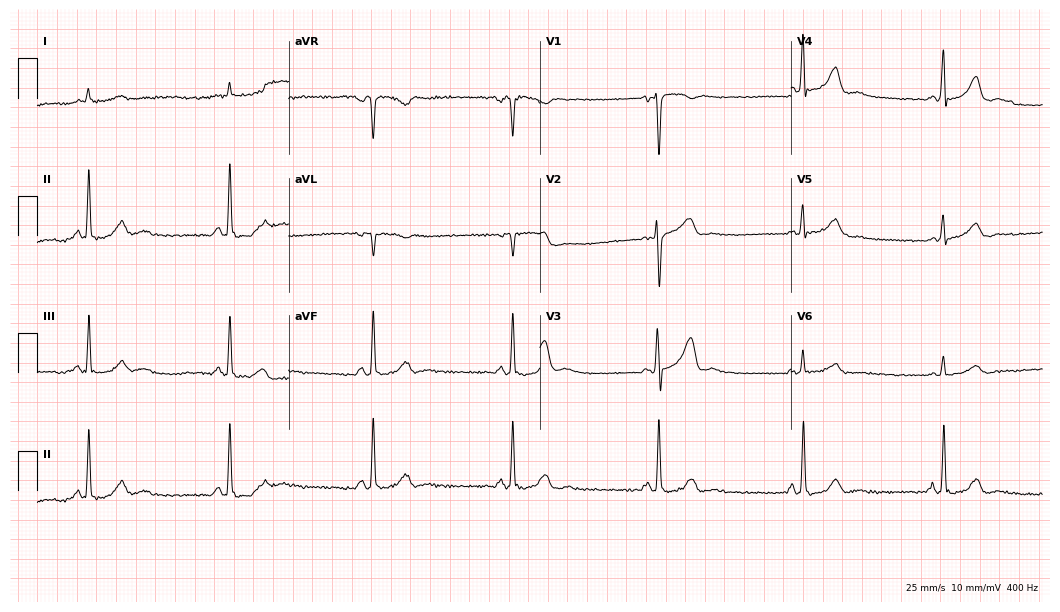
12-lead ECG (10.2-second recording at 400 Hz) from a 68-year-old male. Screened for six findings — first-degree AV block, right bundle branch block, left bundle branch block, sinus bradycardia, atrial fibrillation, sinus tachycardia — none is recorded. Only these six findings were labelled.